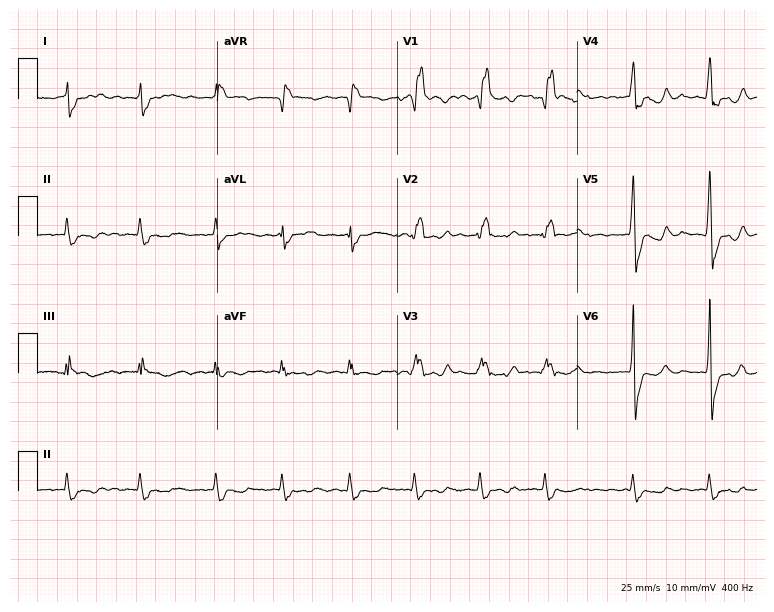
ECG (7.3-second recording at 400 Hz) — a male patient, 75 years old. Findings include right bundle branch block (RBBB), atrial fibrillation (AF).